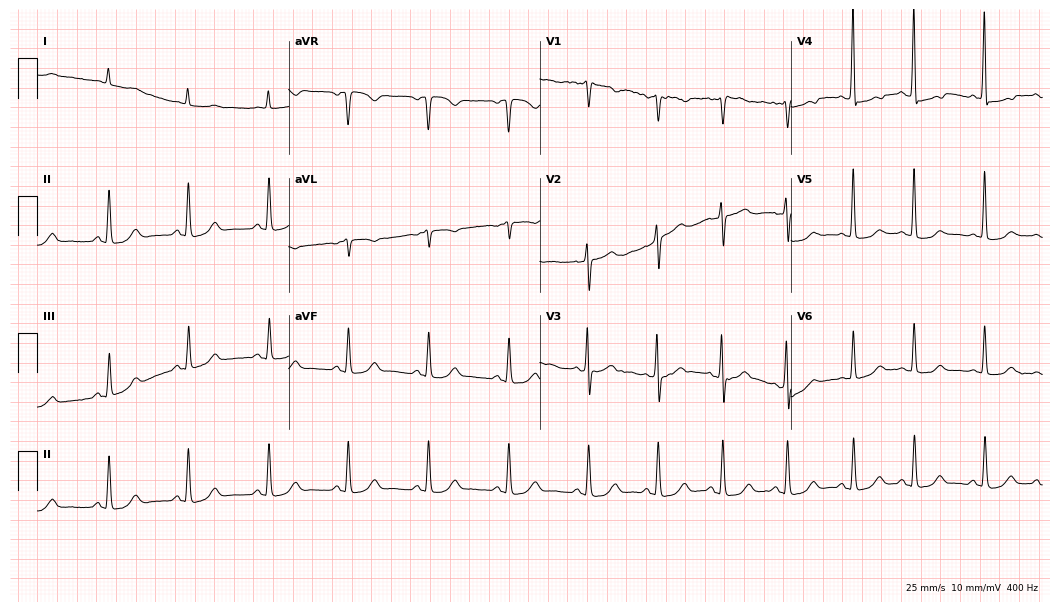
12-lead ECG (10.2-second recording at 400 Hz) from a 76-year-old female. Screened for six findings — first-degree AV block, right bundle branch block, left bundle branch block, sinus bradycardia, atrial fibrillation, sinus tachycardia — none is recorded. Only these six findings were labelled.